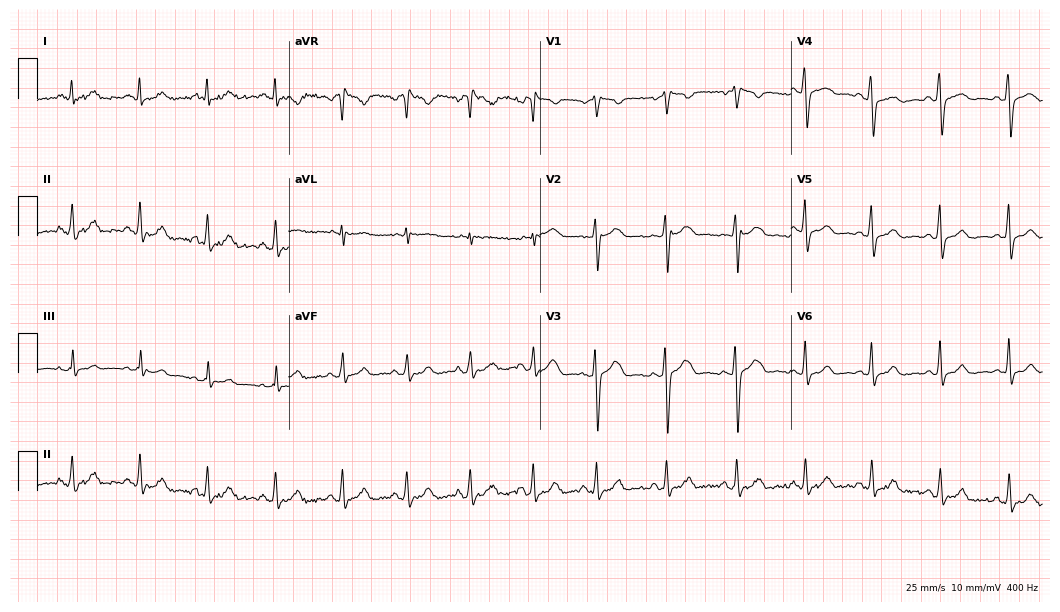
Standard 12-lead ECG recorded from a female, 31 years old. None of these six findings is recorded: first-degree AV block, right bundle branch block, left bundle branch block, sinus bradycardia, atrial fibrillation, sinus tachycardia.